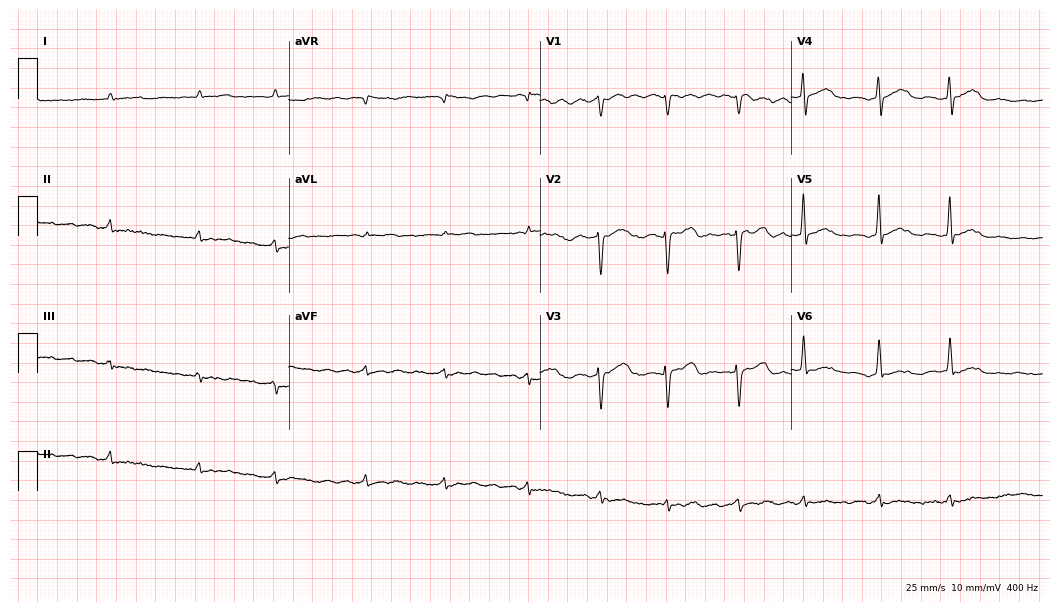
Standard 12-lead ECG recorded from a 69-year-old female patient (10.2-second recording at 400 Hz). The tracing shows atrial fibrillation.